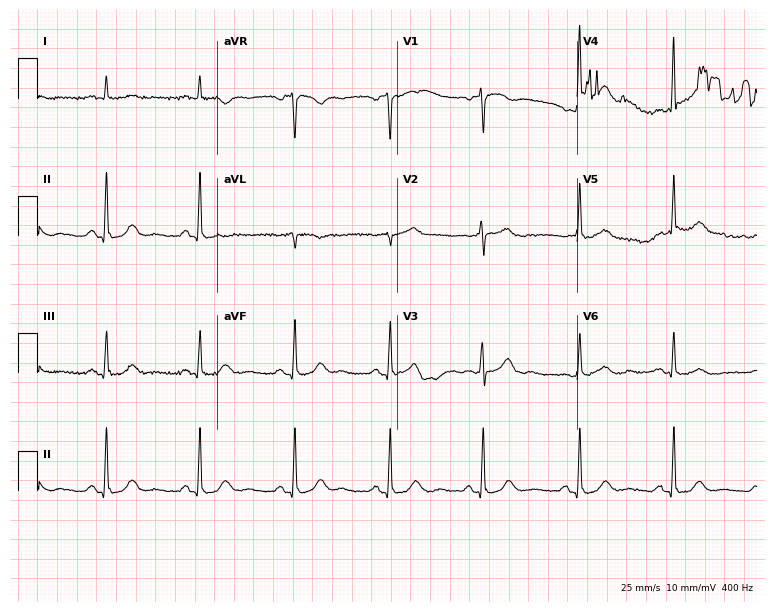
Resting 12-lead electrocardiogram (7.3-second recording at 400 Hz). Patient: a 70-year-old female. Read as a normal ECG.